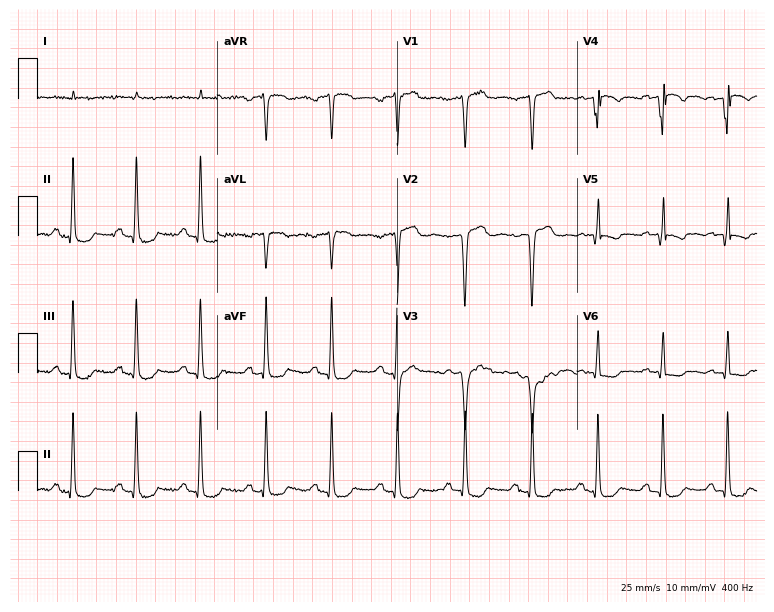
Electrocardiogram, a male patient, 72 years old. Overall reading on record: normal ECG.